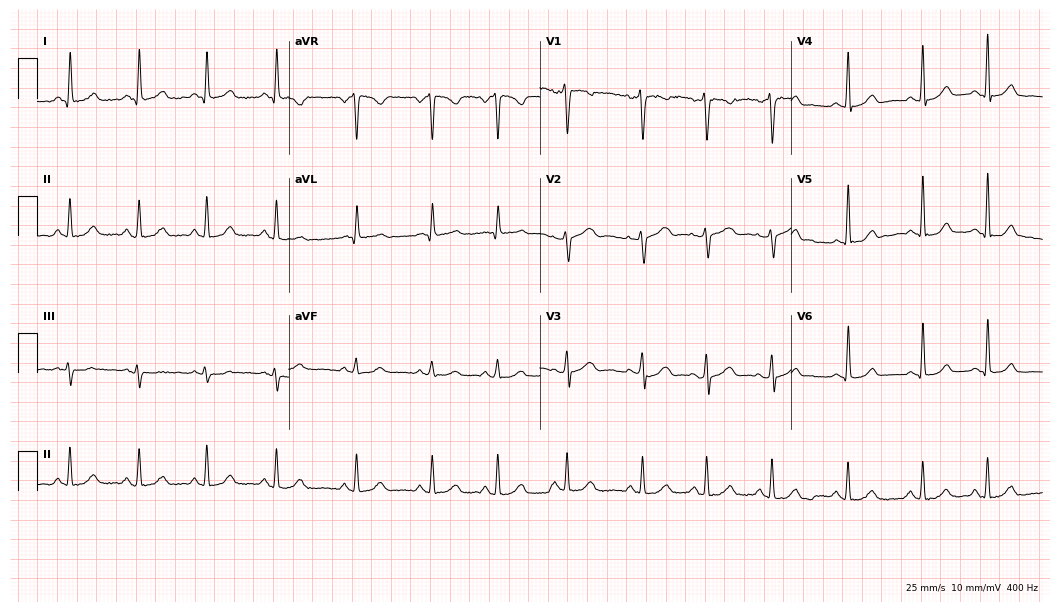
Standard 12-lead ECG recorded from a female patient, 44 years old. Read as a normal ECG.